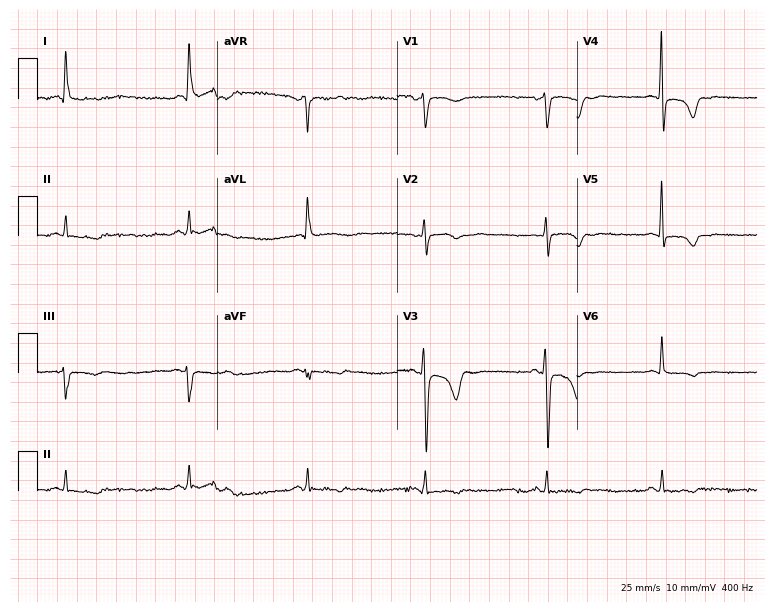
Electrocardiogram, a woman, 67 years old. Interpretation includes sinus bradycardia (a sinus rate of 50 beats per minute or less).